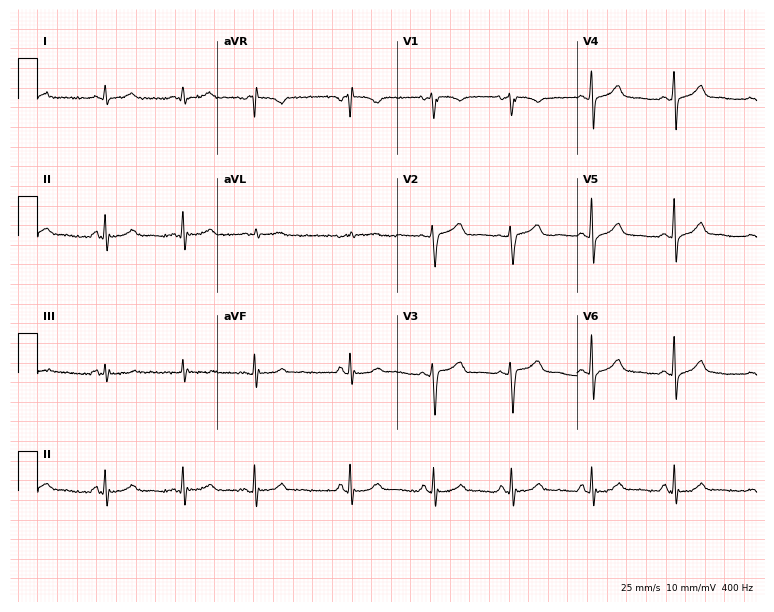
ECG (7.3-second recording at 400 Hz) — a male, 73 years old. Labelled as a normal ECG.